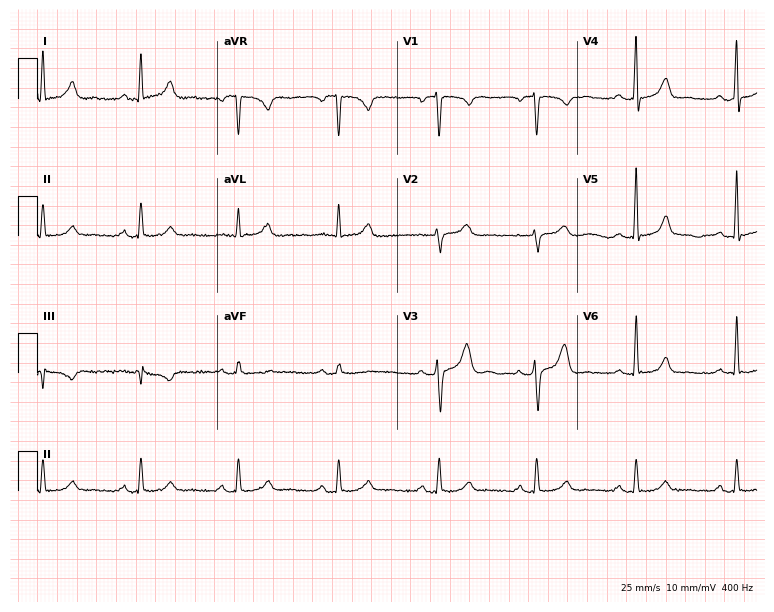
Electrocardiogram (7.3-second recording at 400 Hz), a 46-year-old female. Overall reading on record: normal ECG.